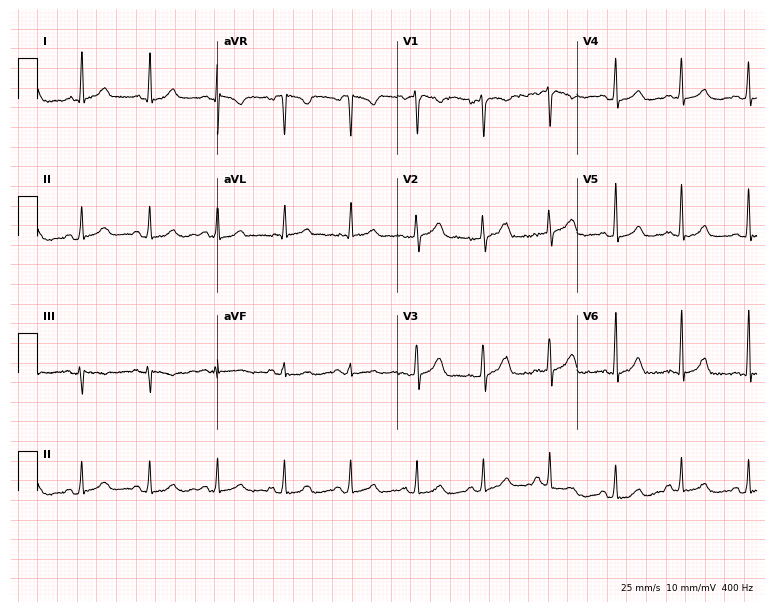
ECG (7.3-second recording at 400 Hz) — a woman, 45 years old. Labelled as a normal ECG.